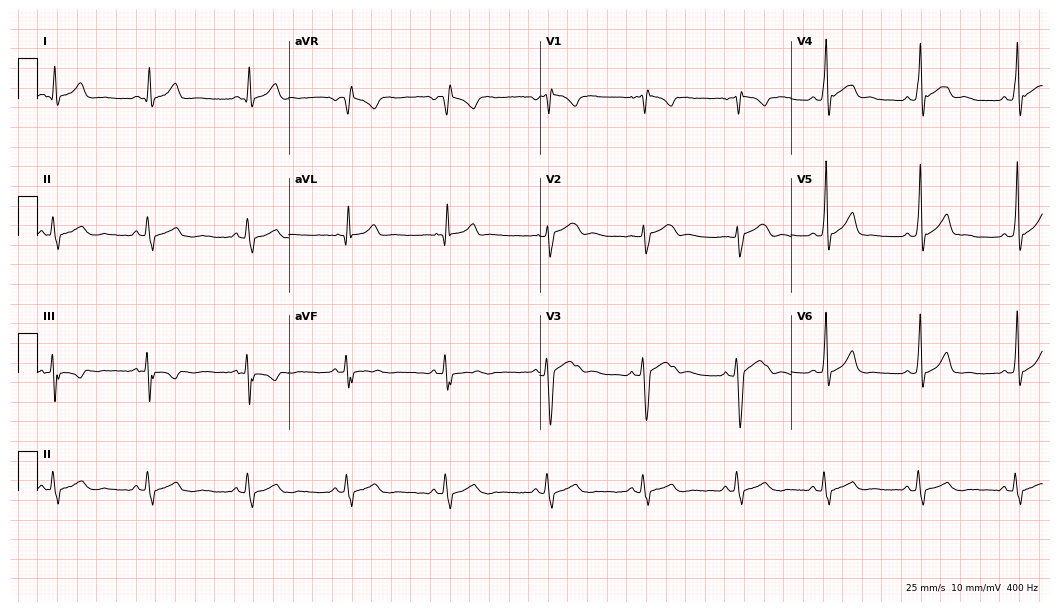
Resting 12-lead electrocardiogram (10.2-second recording at 400 Hz). Patient: a male, 19 years old. Read as a normal ECG.